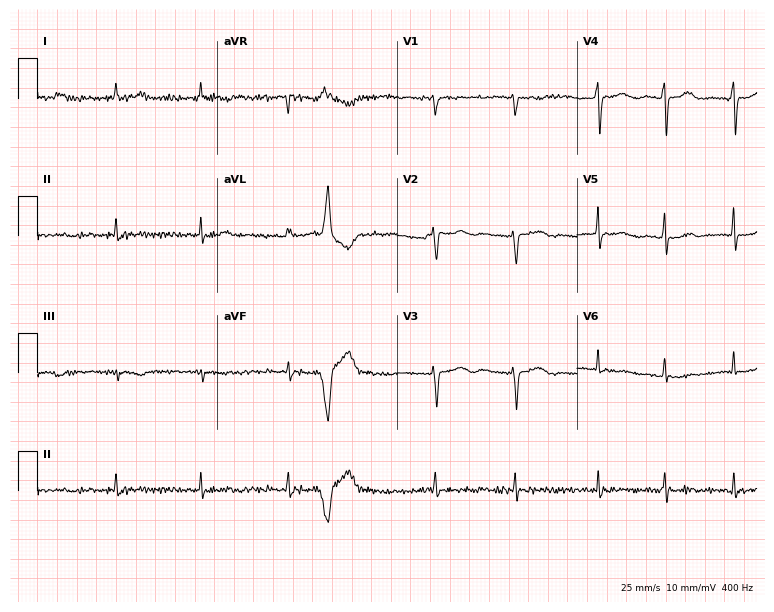
12-lead ECG from a female patient, 55 years old (7.3-second recording at 400 Hz). Shows atrial fibrillation (AF).